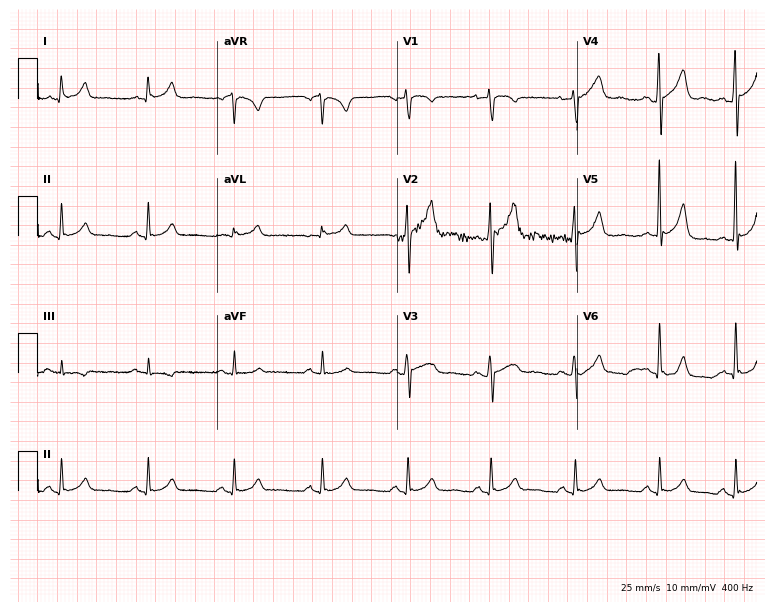
Resting 12-lead electrocardiogram (7.3-second recording at 400 Hz). Patient: a 44-year-old man. Read as a normal ECG.